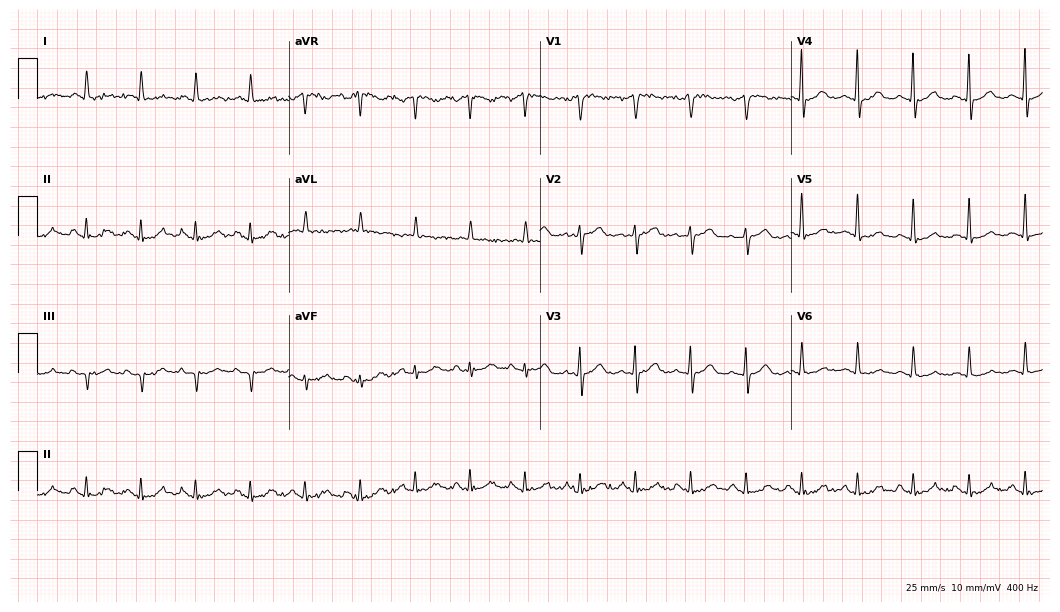
12-lead ECG from a female, 70 years old. No first-degree AV block, right bundle branch block (RBBB), left bundle branch block (LBBB), sinus bradycardia, atrial fibrillation (AF) or sinus tachycardia recorded for this tracing. Other findings, if any, are not listed.